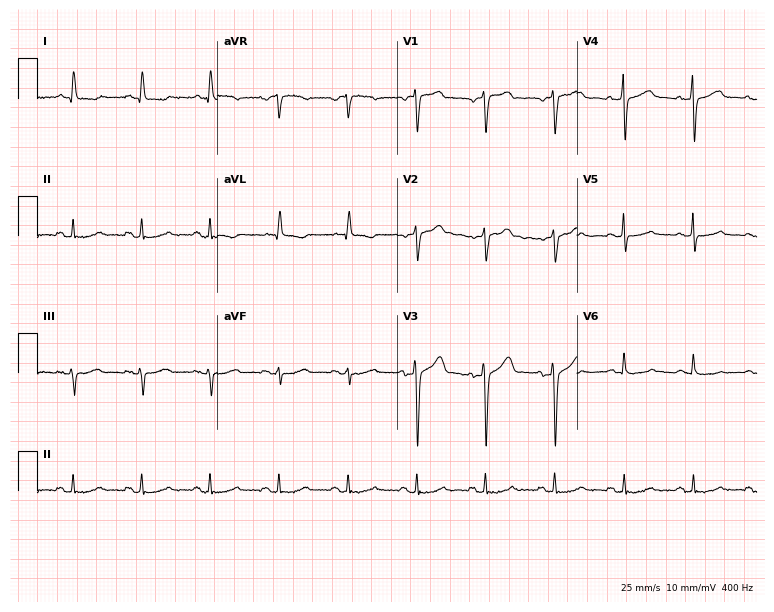
Electrocardiogram (7.3-second recording at 400 Hz), a 62-year-old woman. Of the six screened findings (first-degree AV block, right bundle branch block (RBBB), left bundle branch block (LBBB), sinus bradycardia, atrial fibrillation (AF), sinus tachycardia), none is recorded.